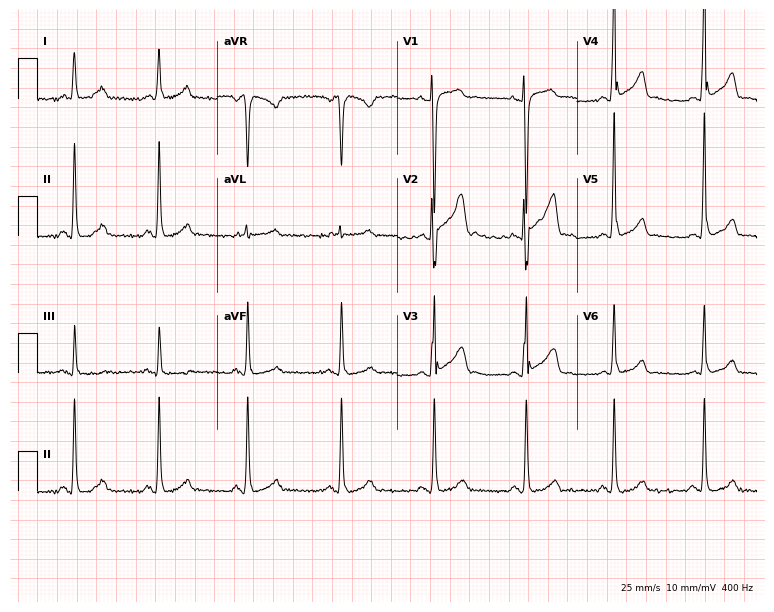
Resting 12-lead electrocardiogram. Patient: a man, 53 years old. Read as a normal ECG.